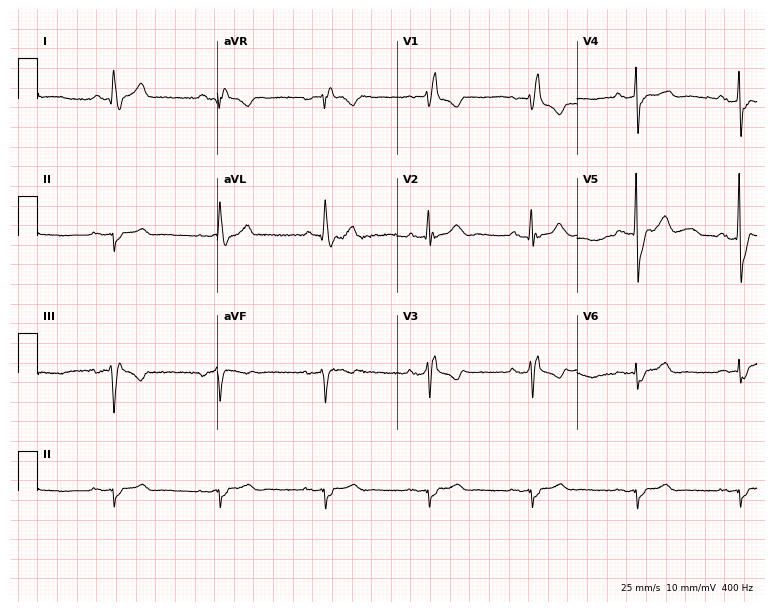
12-lead ECG (7.3-second recording at 400 Hz) from a 68-year-old man. Findings include right bundle branch block.